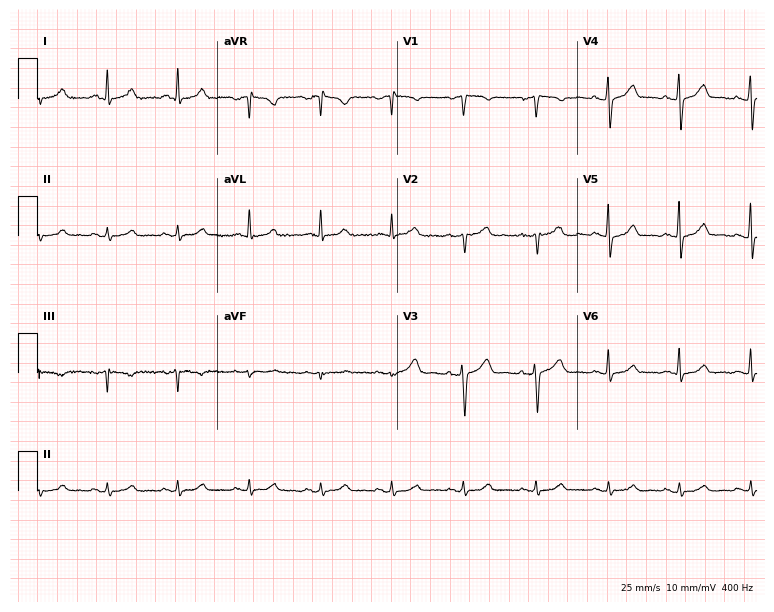
Standard 12-lead ECG recorded from a woman, 46 years old. Read as a normal ECG.